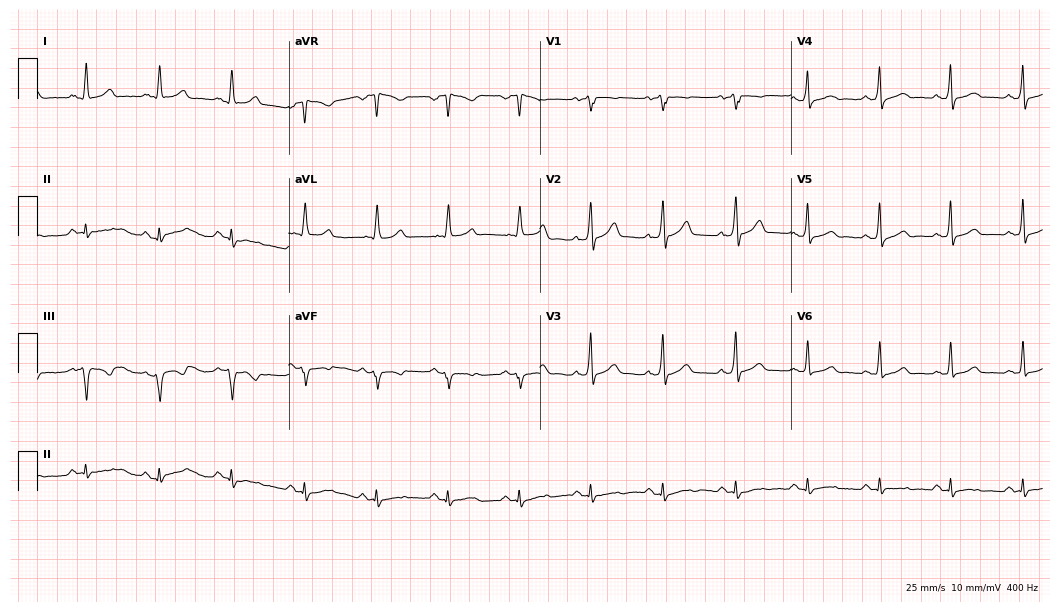
Standard 12-lead ECG recorded from a 62-year-old man (10.2-second recording at 400 Hz). Read as a normal ECG.